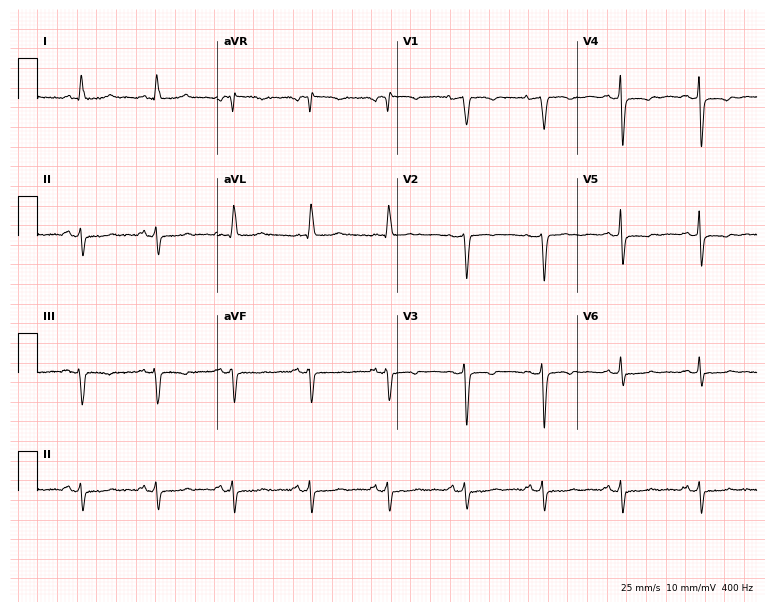
12-lead ECG (7.3-second recording at 400 Hz) from a female patient, 74 years old. Screened for six findings — first-degree AV block, right bundle branch block, left bundle branch block, sinus bradycardia, atrial fibrillation, sinus tachycardia — none is recorded. Findings outside these six are not listed.